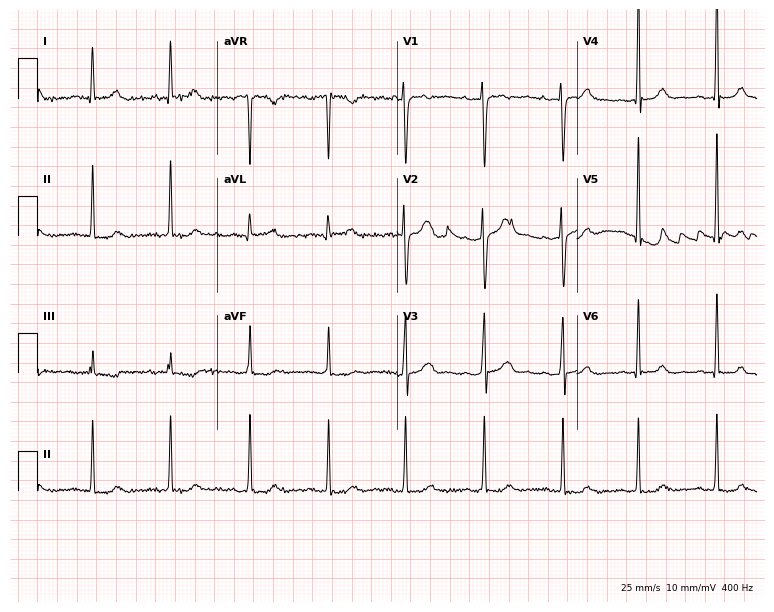
Standard 12-lead ECG recorded from a 31-year-old female. None of these six findings is recorded: first-degree AV block, right bundle branch block, left bundle branch block, sinus bradycardia, atrial fibrillation, sinus tachycardia.